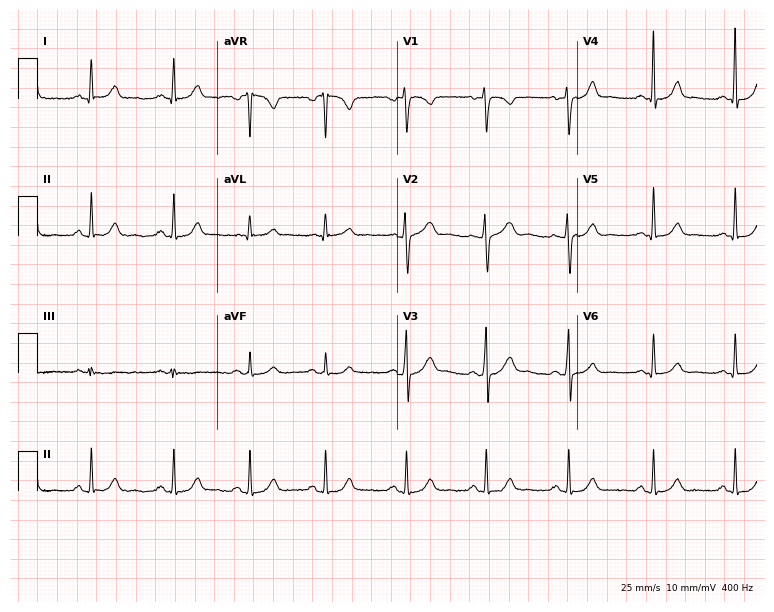
12-lead ECG from a 47-year-old female patient (7.3-second recording at 400 Hz). Recorded interpretation: within normal limits.